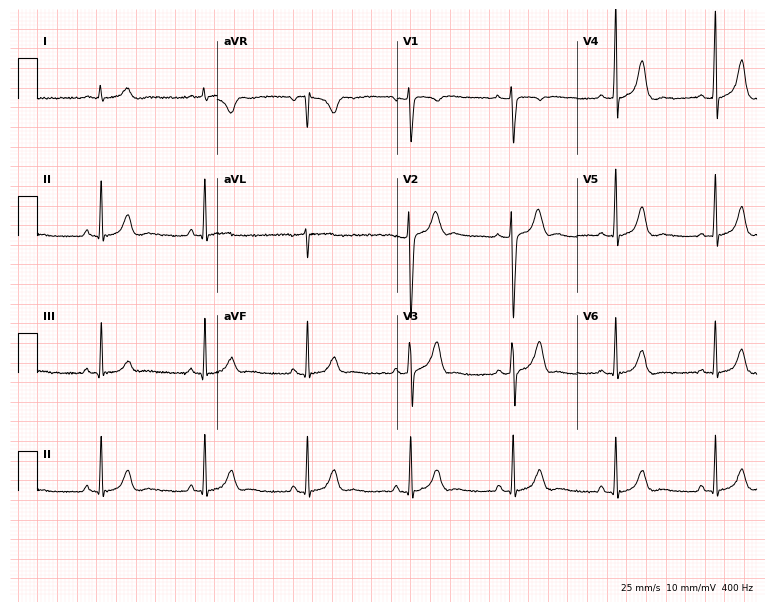
Resting 12-lead electrocardiogram (7.3-second recording at 400 Hz). Patient: a 29-year-old female. Read as a normal ECG.